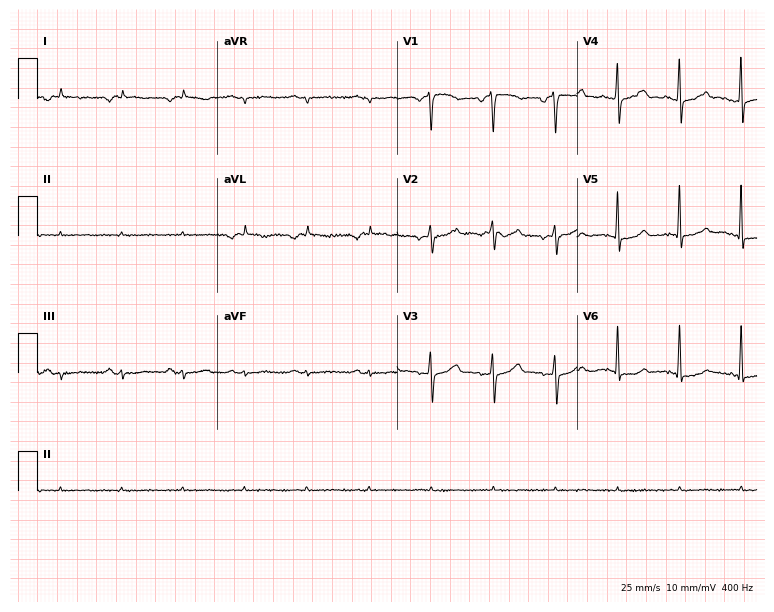
Standard 12-lead ECG recorded from a female patient, 83 years old. None of these six findings is recorded: first-degree AV block, right bundle branch block (RBBB), left bundle branch block (LBBB), sinus bradycardia, atrial fibrillation (AF), sinus tachycardia.